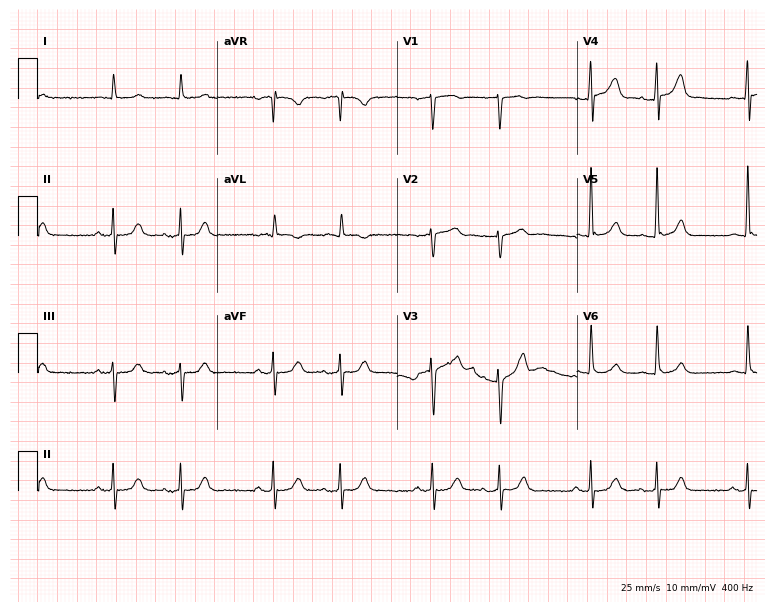
Electrocardiogram, an 88-year-old male. Of the six screened findings (first-degree AV block, right bundle branch block, left bundle branch block, sinus bradycardia, atrial fibrillation, sinus tachycardia), none is recorded.